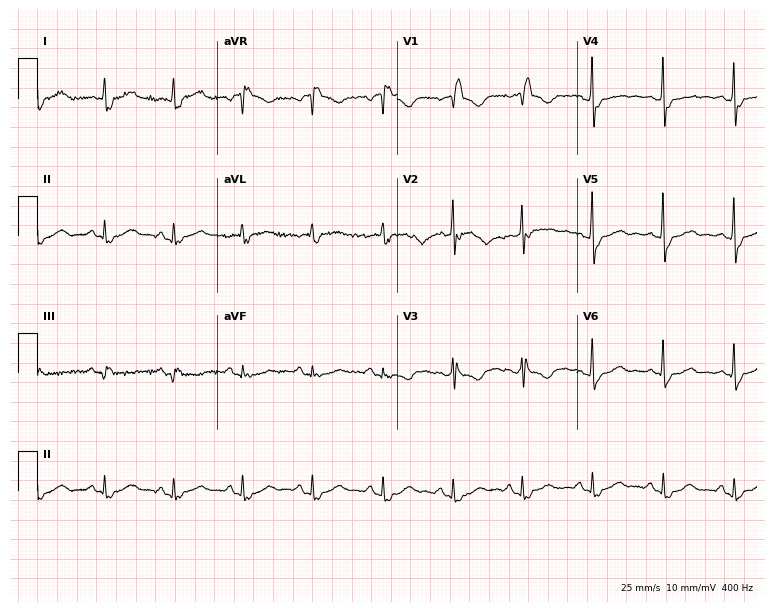
12-lead ECG (7.3-second recording at 400 Hz) from a woman, 62 years old. Findings include right bundle branch block.